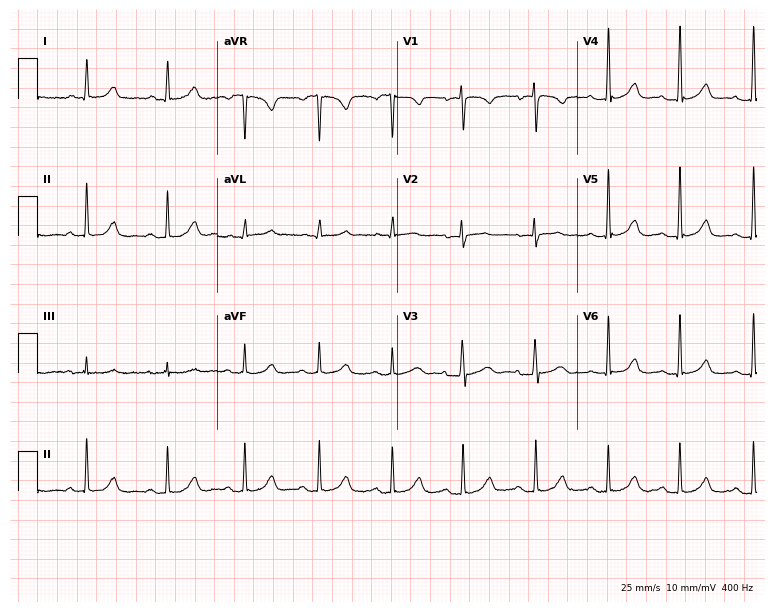
12-lead ECG from a 49-year-old female patient. Screened for six findings — first-degree AV block, right bundle branch block (RBBB), left bundle branch block (LBBB), sinus bradycardia, atrial fibrillation (AF), sinus tachycardia — none is recorded. Other findings, if any, are not listed.